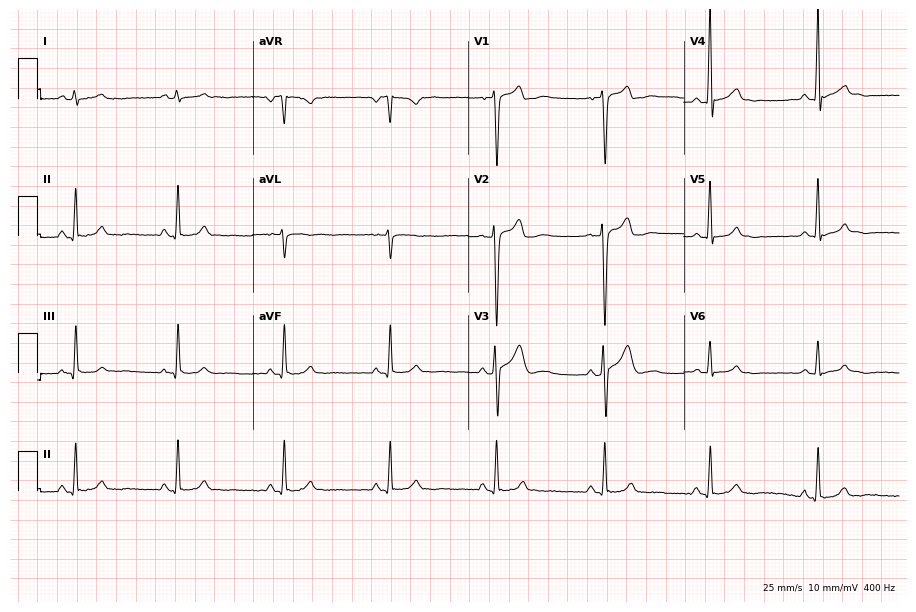
12-lead ECG from a 23-year-old male. Labelled as a normal ECG.